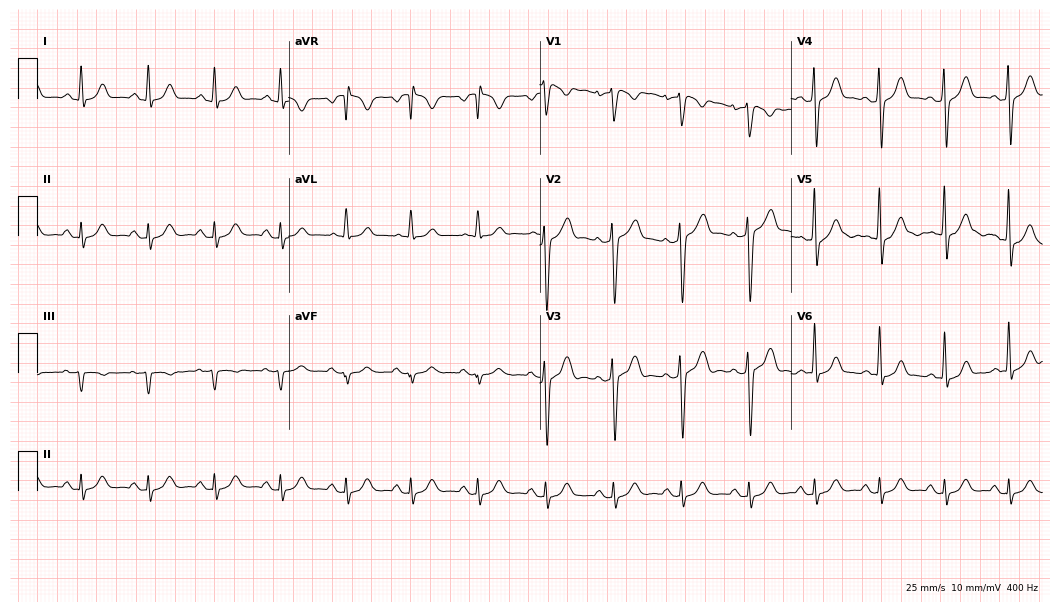
Resting 12-lead electrocardiogram. Patient: a 28-year-old man. None of these six findings is recorded: first-degree AV block, right bundle branch block, left bundle branch block, sinus bradycardia, atrial fibrillation, sinus tachycardia.